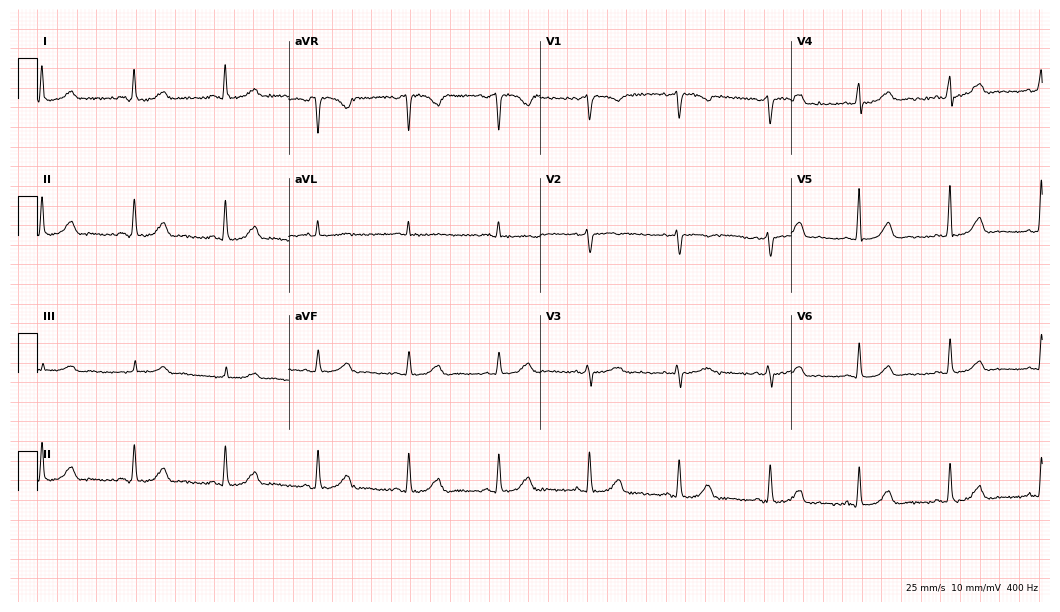
ECG (10.2-second recording at 400 Hz) — a woman, 61 years old. Labelled as a normal ECG.